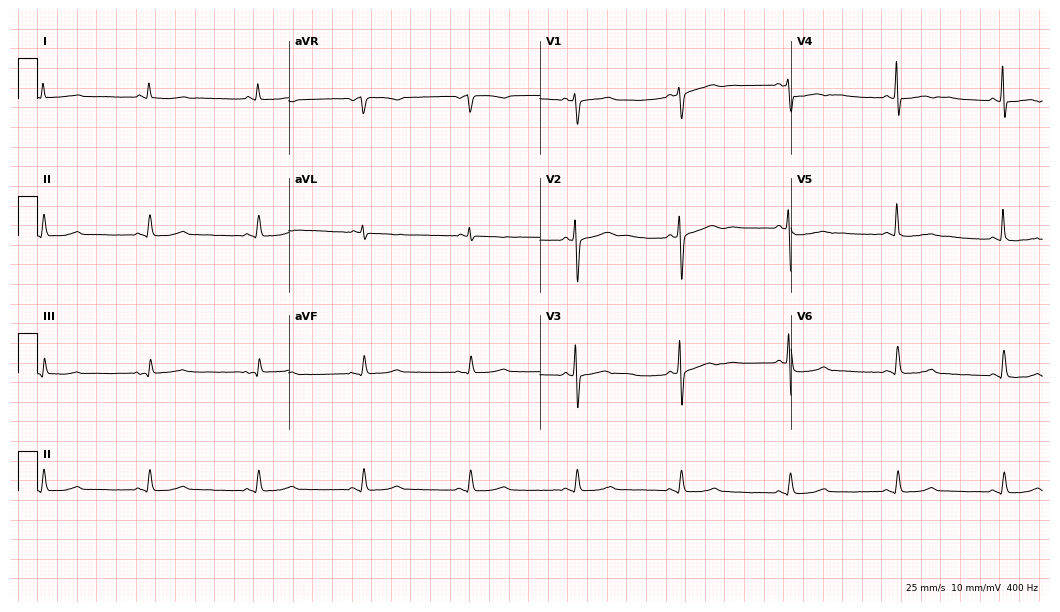
ECG (10.2-second recording at 400 Hz) — a male, 69 years old. Screened for six findings — first-degree AV block, right bundle branch block, left bundle branch block, sinus bradycardia, atrial fibrillation, sinus tachycardia — none is recorded. Only these six findings were labelled.